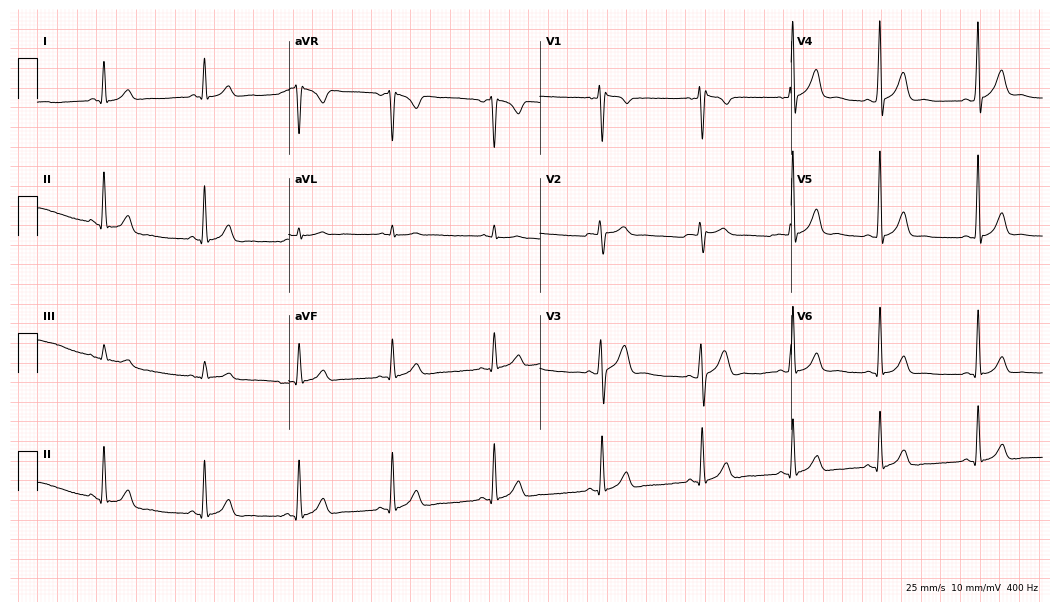
Electrocardiogram (10.2-second recording at 400 Hz), a 28-year-old male patient. Overall reading on record: normal ECG.